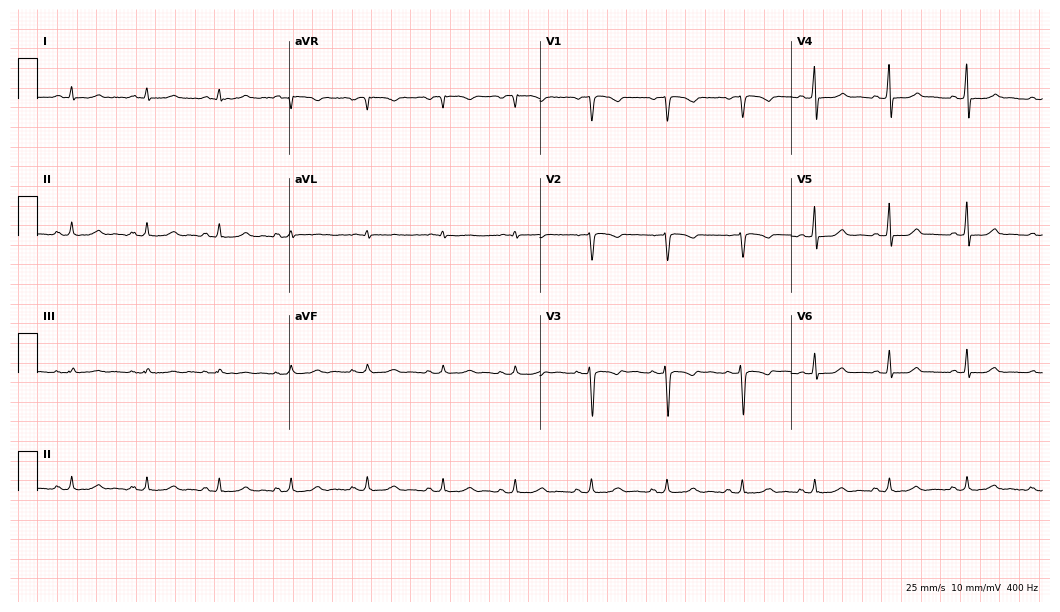
Resting 12-lead electrocardiogram (10.2-second recording at 400 Hz). Patient: a female, 35 years old. None of these six findings is recorded: first-degree AV block, right bundle branch block (RBBB), left bundle branch block (LBBB), sinus bradycardia, atrial fibrillation (AF), sinus tachycardia.